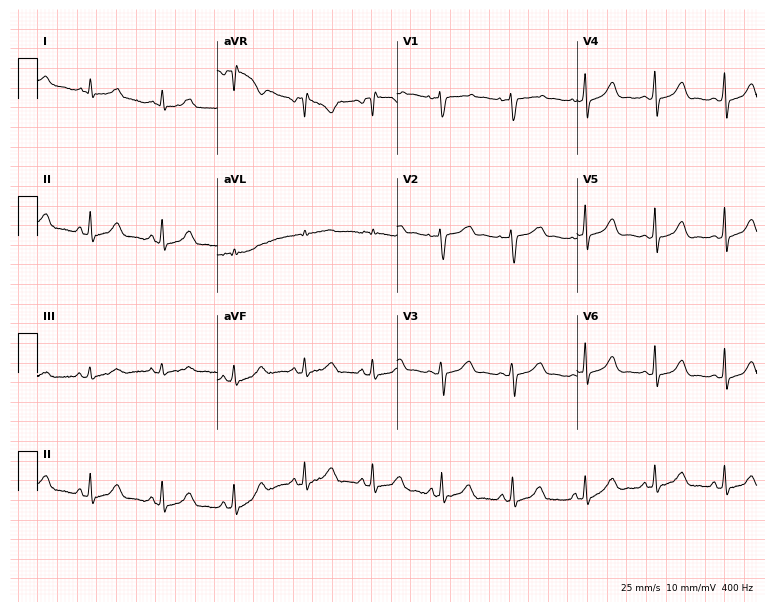
Electrocardiogram, a woman, 27 years old. Of the six screened findings (first-degree AV block, right bundle branch block, left bundle branch block, sinus bradycardia, atrial fibrillation, sinus tachycardia), none is recorded. Other findings, if any, are not listed.